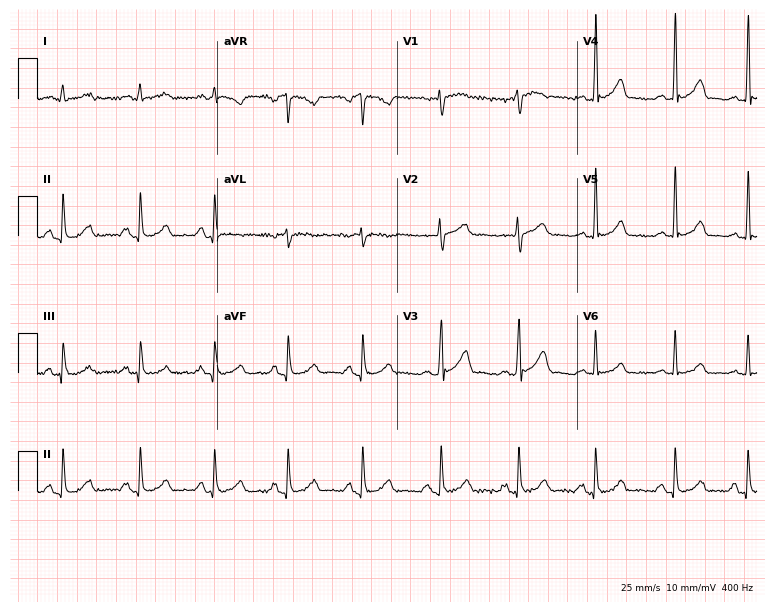
12-lead ECG from a man, 57 years old (7.3-second recording at 400 Hz). Recorded interpretation: within normal limits.